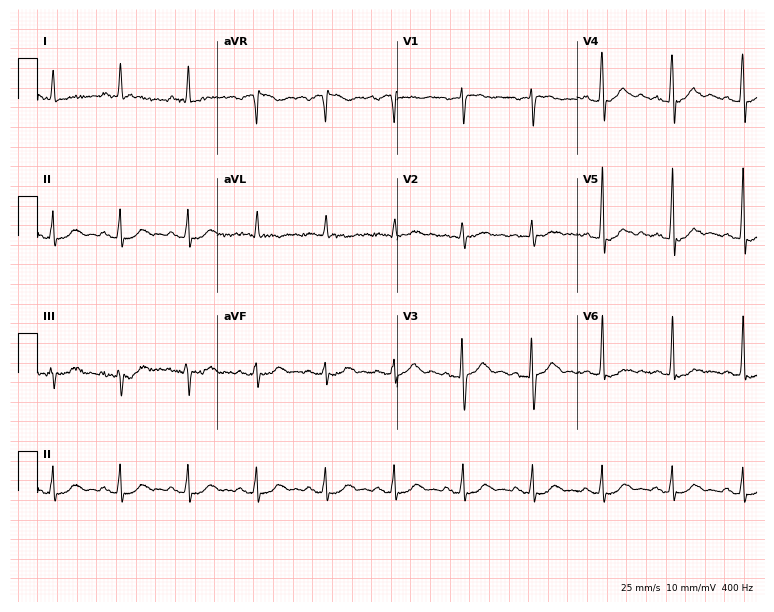
Resting 12-lead electrocardiogram. Patient: a woman, 56 years old. Read as a normal ECG.